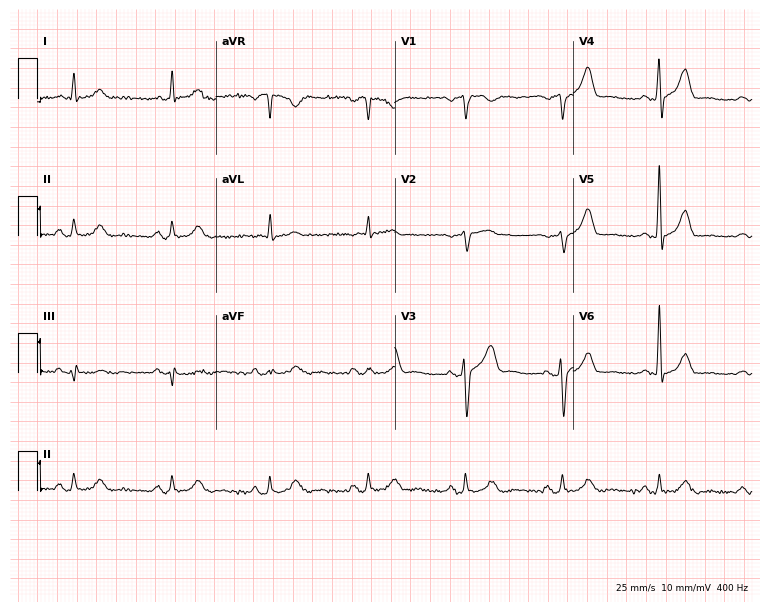
12-lead ECG from a male, 73 years old. No first-degree AV block, right bundle branch block, left bundle branch block, sinus bradycardia, atrial fibrillation or sinus tachycardia recorded for this tracing. Findings outside these six are not listed.